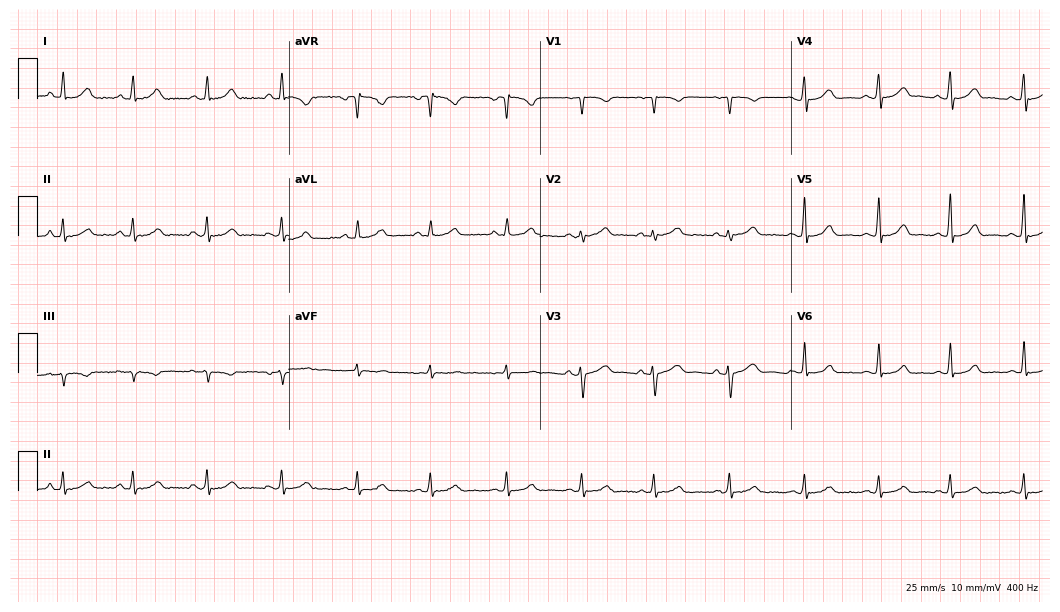
Resting 12-lead electrocardiogram. Patient: a woman, 32 years old. Read as a normal ECG.